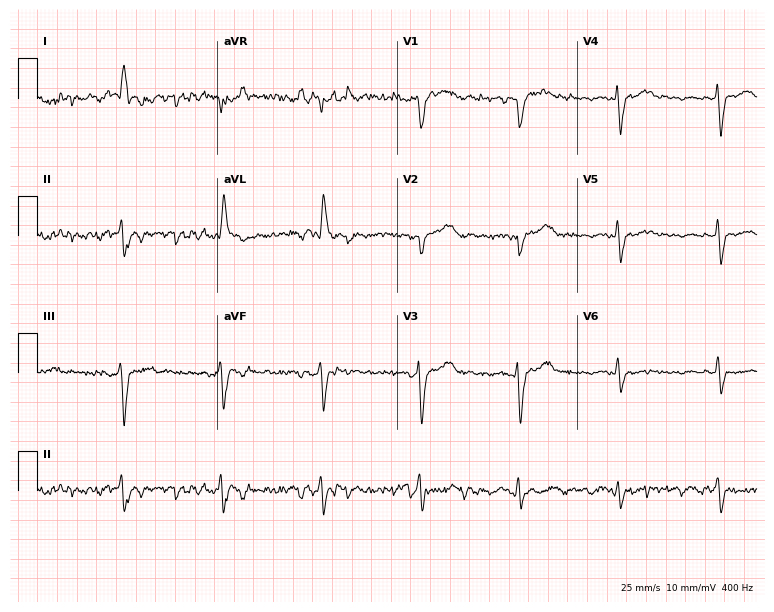
Resting 12-lead electrocardiogram (7.3-second recording at 400 Hz). Patient: a male, 75 years old. The tracing shows left bundle branch block (LBBB).